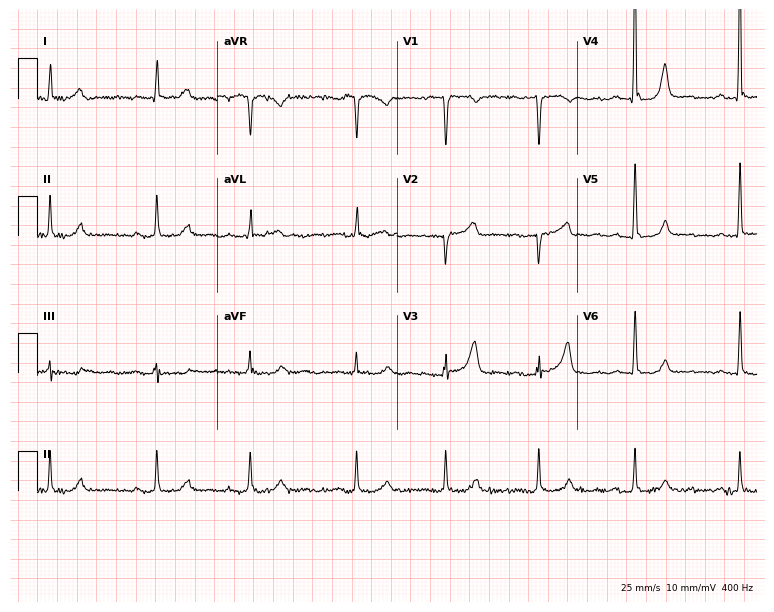
Electrocardiogram, a female patient, 77 years old. Interpretation includes atrial fibrillation.